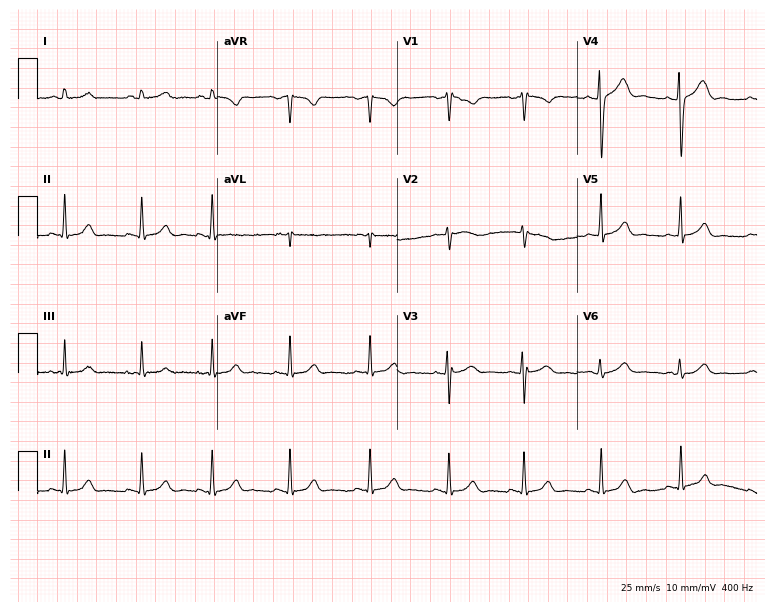
ECG — a woman, 21 years old. Labelled as a normal ECG.